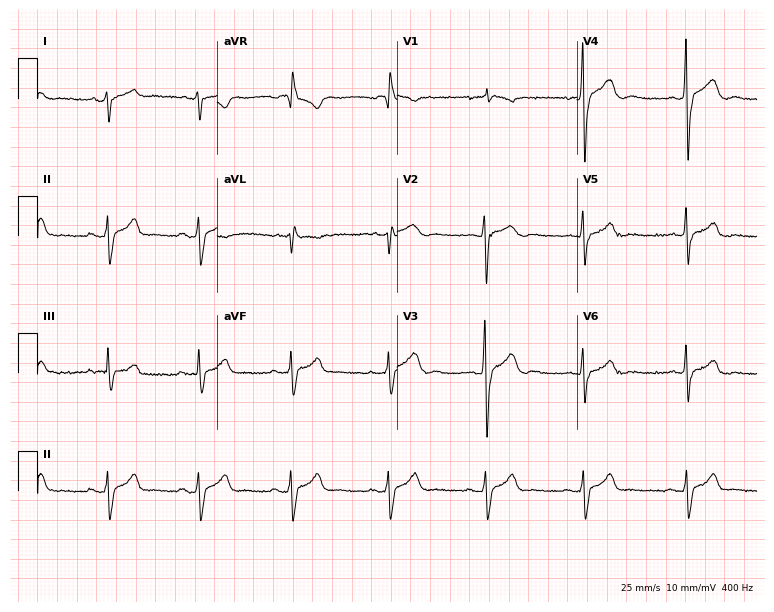
Standard 12-lead ECG recorded from a man, 28 years old. None of these six findings is recorded: first-degree AV block, right bundle branch block (RBBB), left bundle branch block (LBBB), sinus bradycardia, atrial fibrillation (AF), sinus tachycardia. Other findings, if any, are not listed.